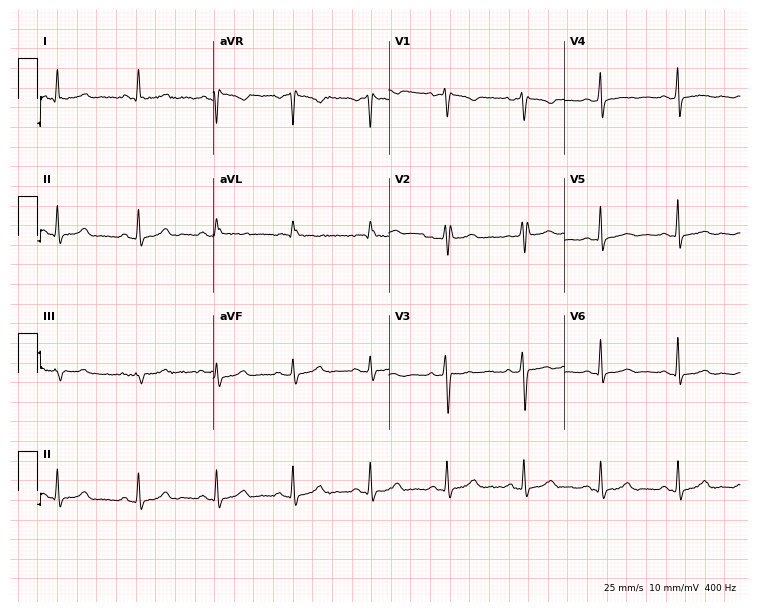
Resting 12-lead electrocardiogram. Patient: a 46-year-old female. Read as a normal ECG.